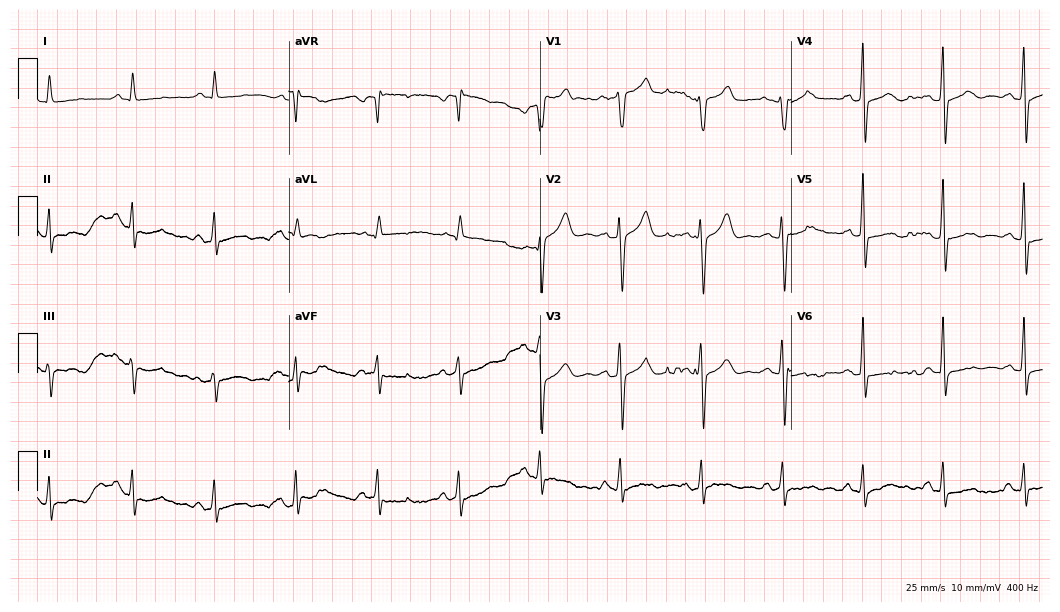
ECG (10.2-second recording at 400 Hz) — a man, 58 years old. Labelled as a normal ECG.